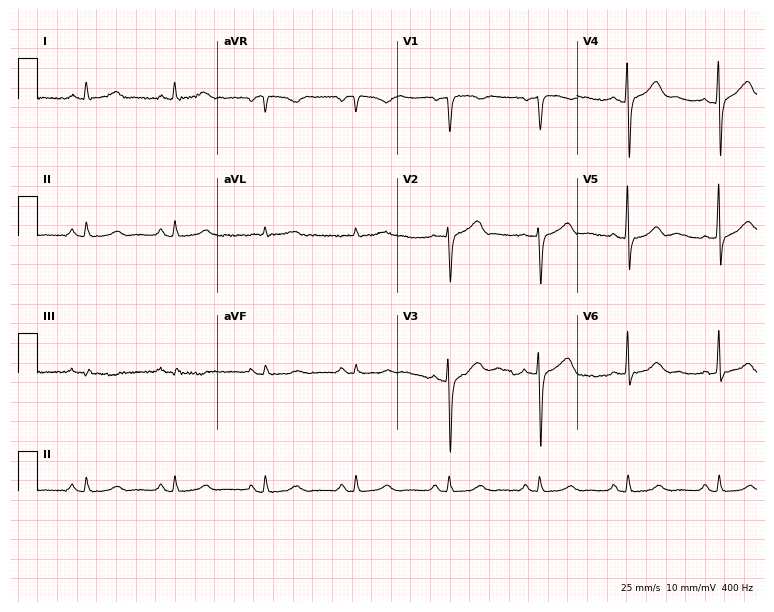
Resting 12-lead electrocardiogram. Patient: a male, 69 years old. Read as a normal ECG.